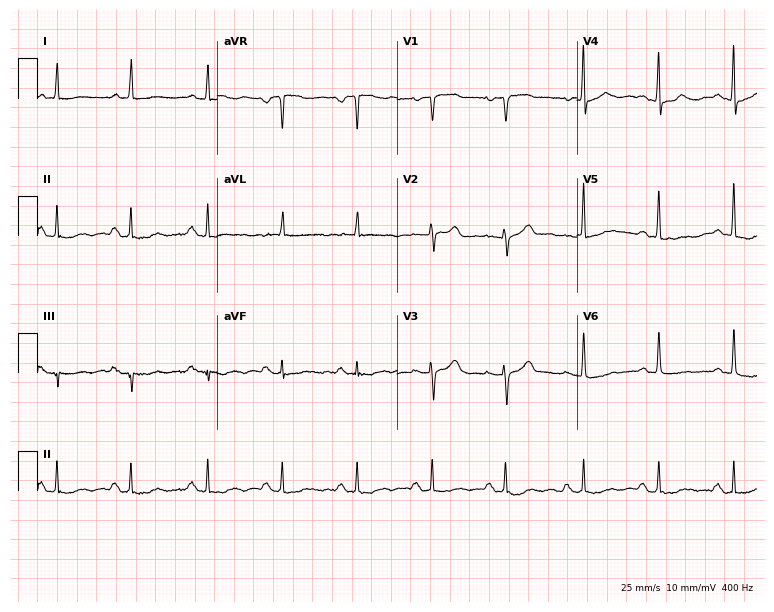
ECG (7.3-second recording at 400 Hz) — a woman, 72 years old. Labelled as a normal ECG.